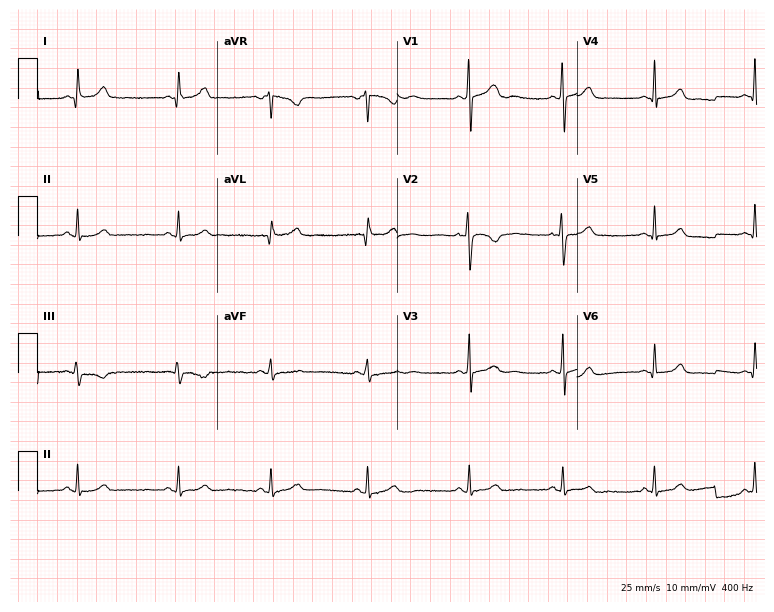
12-lead ECG from a female patient, 24 years old. Recorded interpretation: within normal limits.